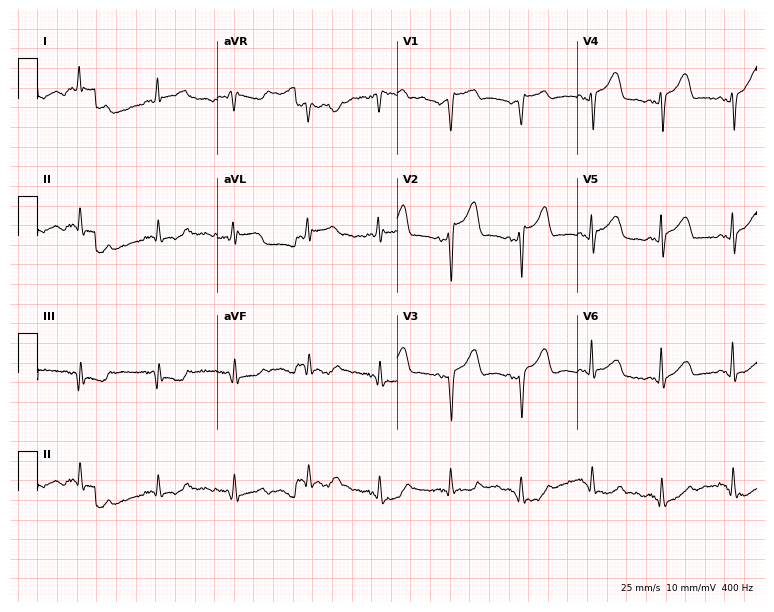
Standard 12-lead ECG recorded from a male patient, 43 years old (7.3-second recording at 400 Hz). None of these six findings is recorded: first-degree AV block, right bundle branch block (RBBB), left bundle branch block (LBBB), sinus bradycardia, atrial fibrillation (AF), sinus tachycardia. Only these six findings were labelled.